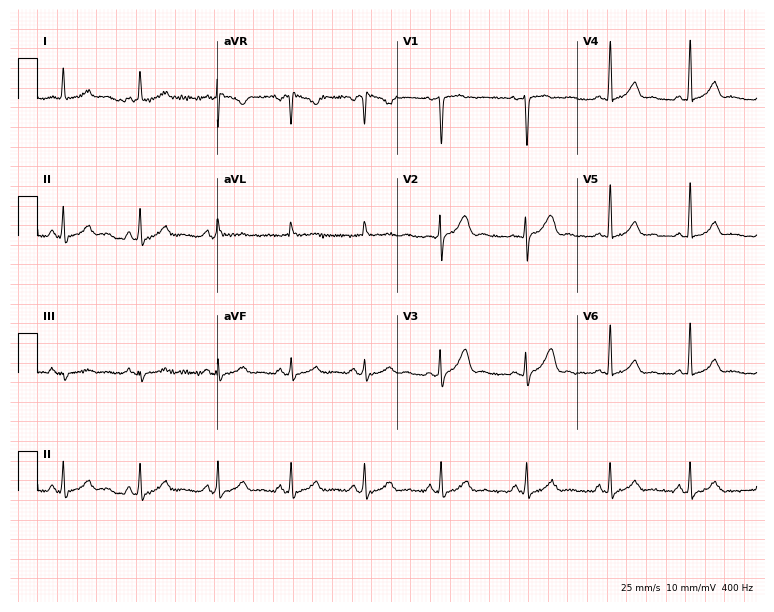
ECG — a female patient, 31 years old. Labelled as a normal ECG.